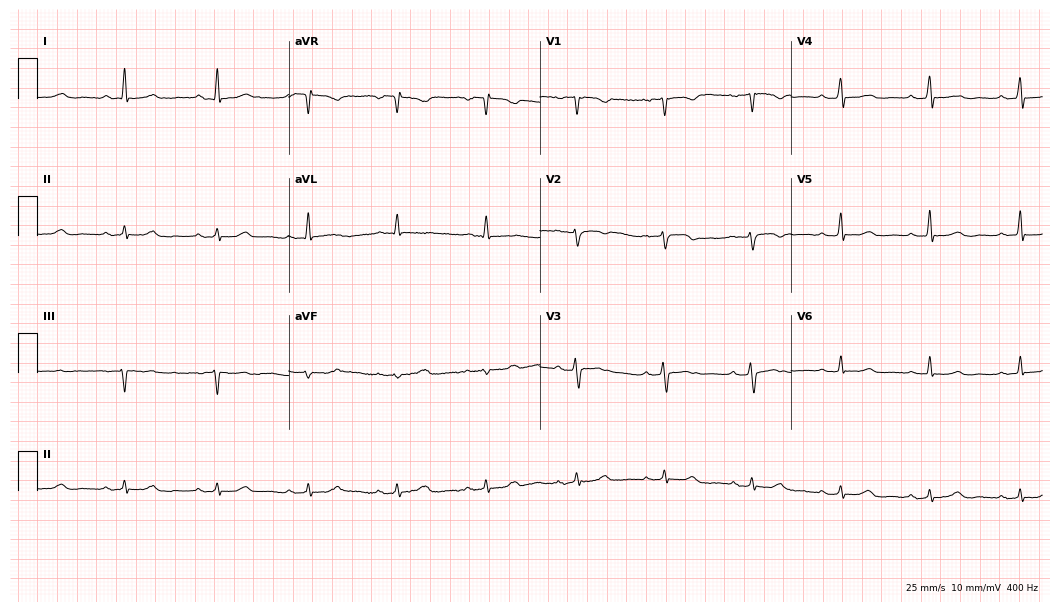
12-lead ECG from a 59-year-old woman. Recorded interpretation: within normal limits.